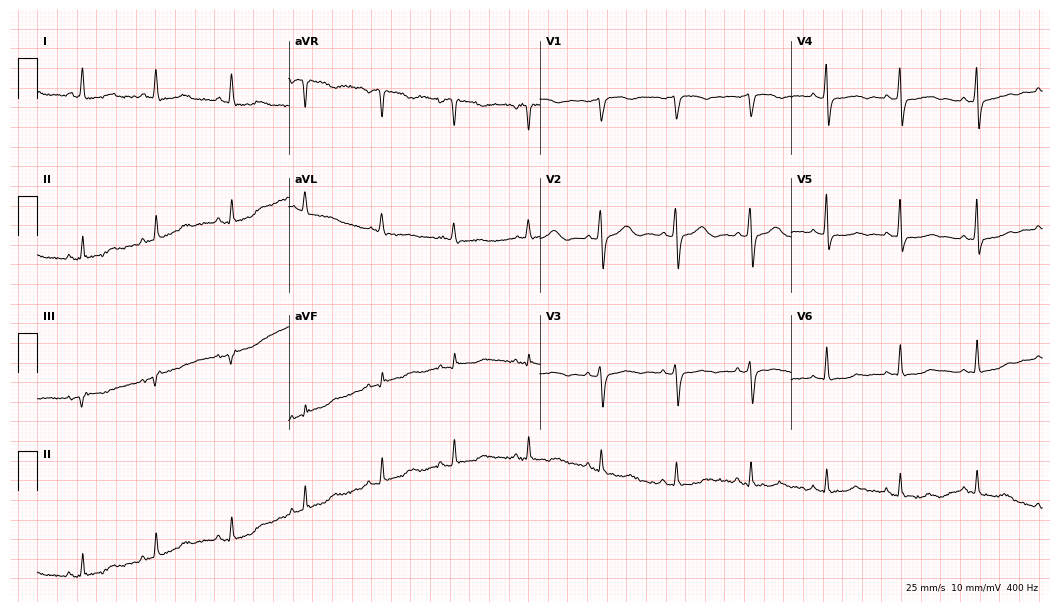
Electrocardiogram, a female patient, 79 years old. Of the six screened findings (first-degree AV block, right bundle branch block, left bundle branch block, sinus bradycardia, atrial fibrillation, sinus tachycardia), none is recorded. Other findings, if any, are not listed.